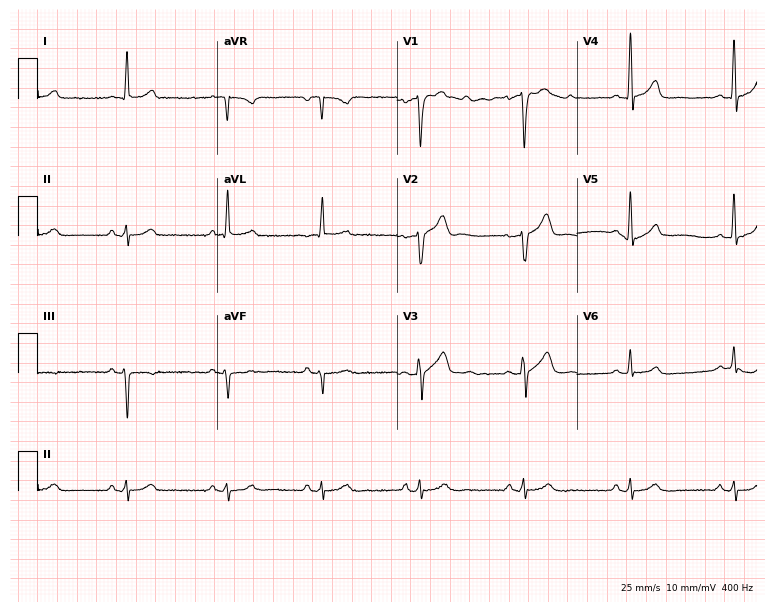
12-lead ECG (7.3-second recording at 400 Hz) from a 70-year-old male patient. Screened for six findings — first-degree AV block, right bundle branch block, left bundle branch block, sinus bradycardia, atrial fibrillation, sinus tachycardia — none is recorded.